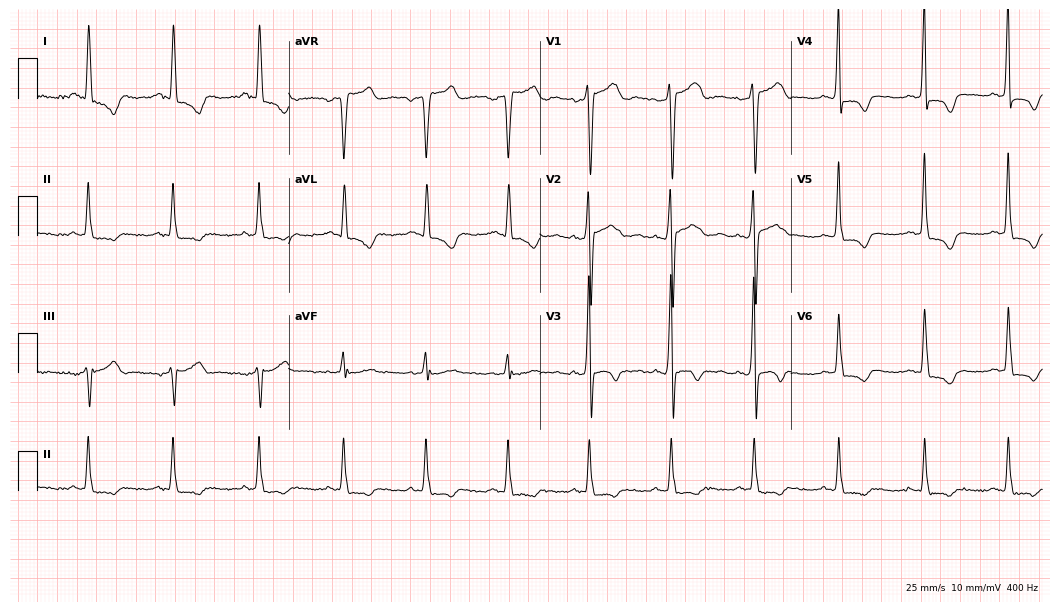
ECG (10.2-second recording at 400 Hz) — a male patient, 44 years old. Screened for six findings — first-degree AV block, right bundle branch block, left bundle branch block, sinus bradycardia, atrial fibrillation, sinus tachycardia — none is recorded.